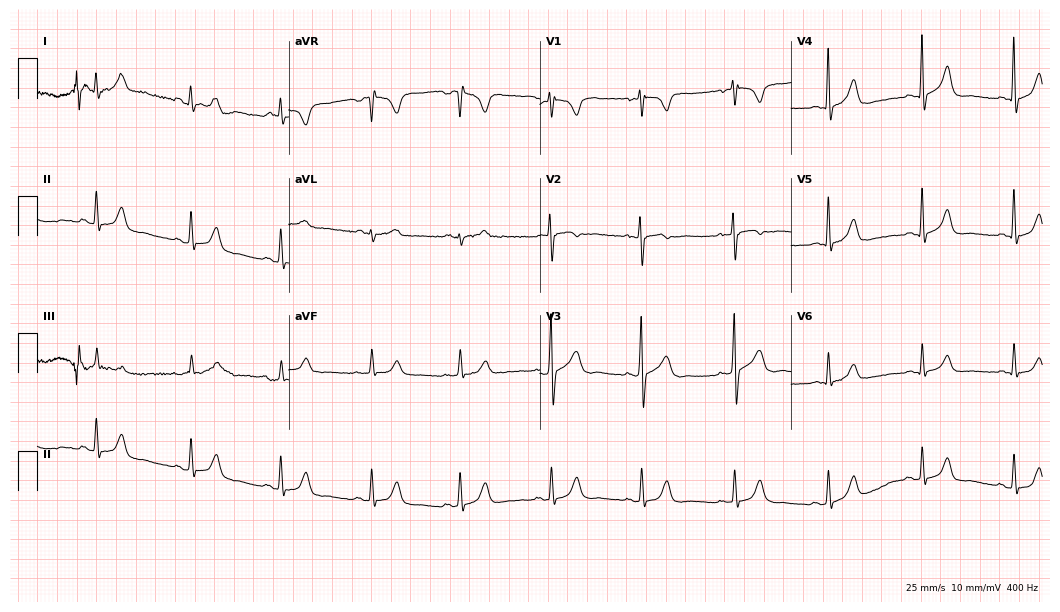
Standard 12-lead ECG recorded from a 34-year-old man (10.2-second recording at 400 Hz). None of these six findings is recorded: first-degree AV block, right bundle branch block (RBBB), left bundle branch block (LBBB), sinus bradycardia, atrial fibrillation (AF), sinus tachycardia.